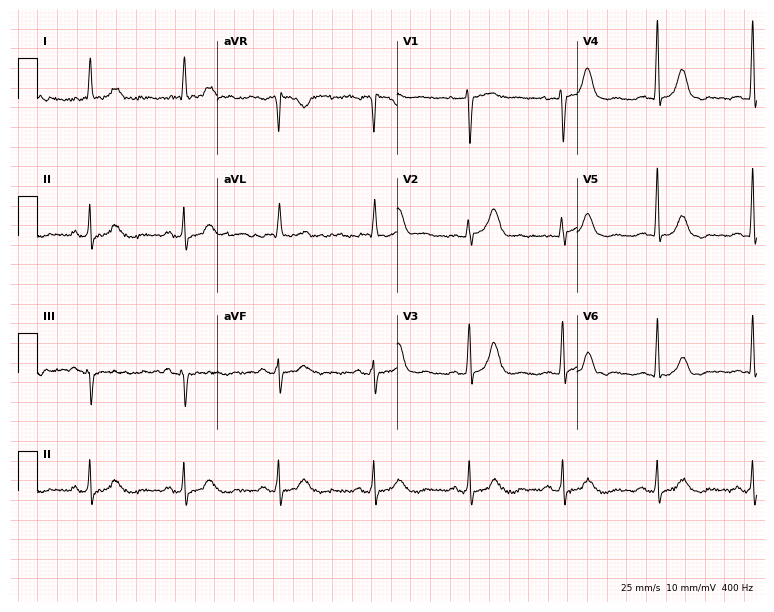
12-lead ECG from a female, 81 years old. No first-degree AV block, right bundle branch block, left bundle branch block, sinus bradycardia, atrial fibrillation or sinus tachycardia recorded for this tracing.